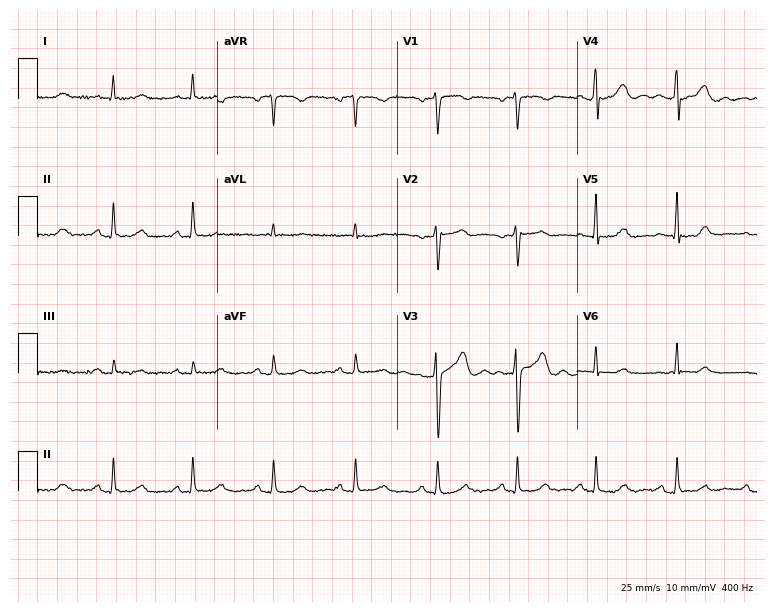
Standard 12-lead ECG recorded from a 43-year-old man. Read as a normal ECG.